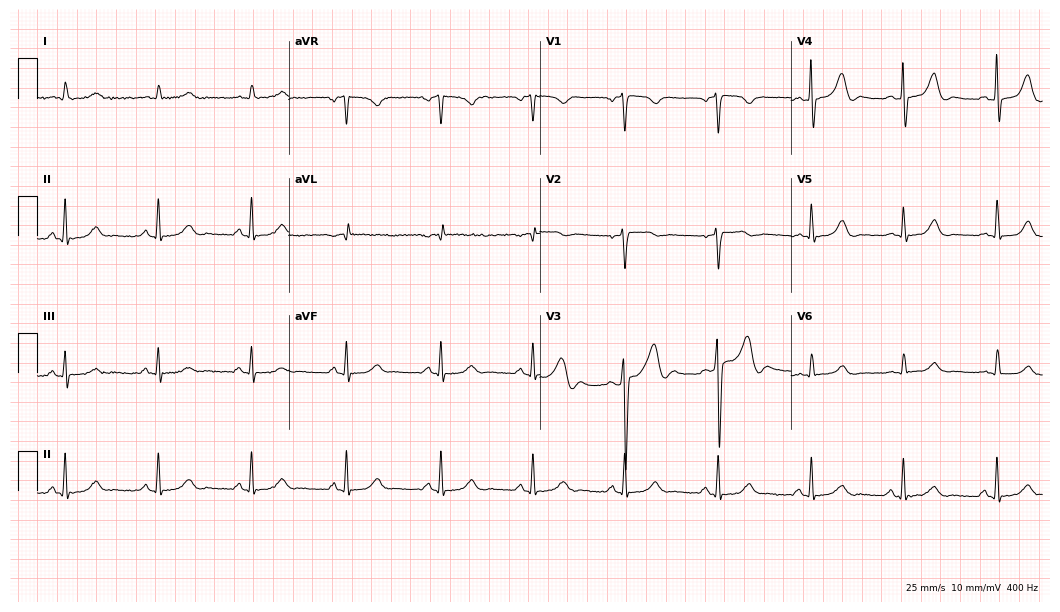
Resting 12-lead electrocardiogram (10.2-second recording at 400 Hz). Patient: a woman, 81 years old. Read as a normal ECG.